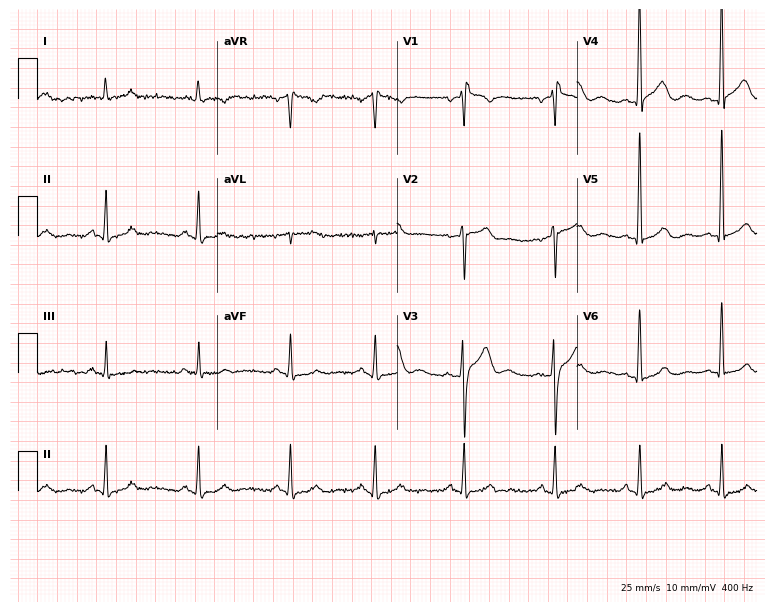
Standard 12-lead ECG recorded from a 72-year-old man (7.3-second recording at 400 Hz). None of these six findings is recorded: first-degree AV block, right bundle branch block (RBBB), left bundle branch block (LBBB), sinus bradycardia, atrial fibrillation (AF), sinus tachycardia.